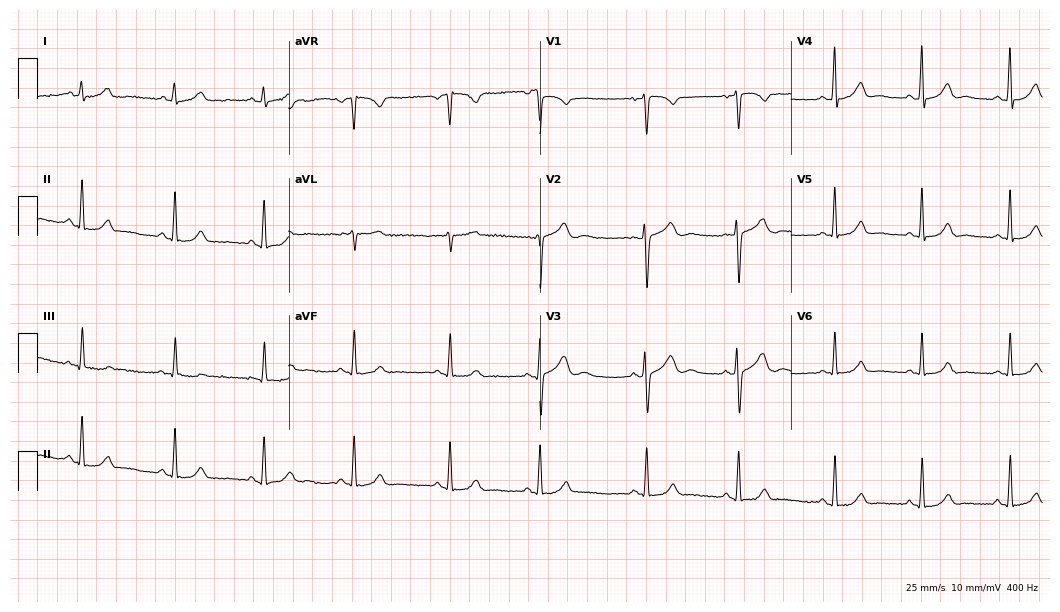
Electrocardiogram, a 46-year-old female. Overall reading on record: normal ECG.